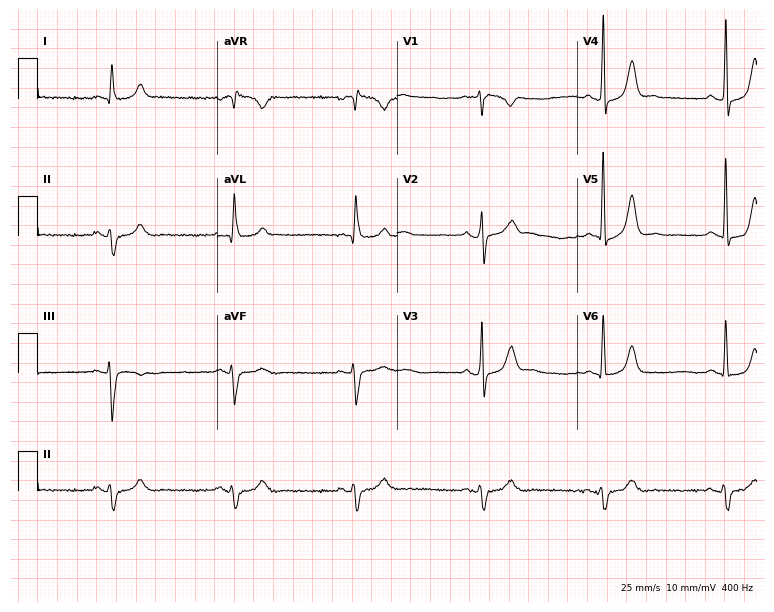
12-lead ECG from a 64-year-old male. Findings include sinus bradycardia (a sinus rate of 50 beats per minute or less).